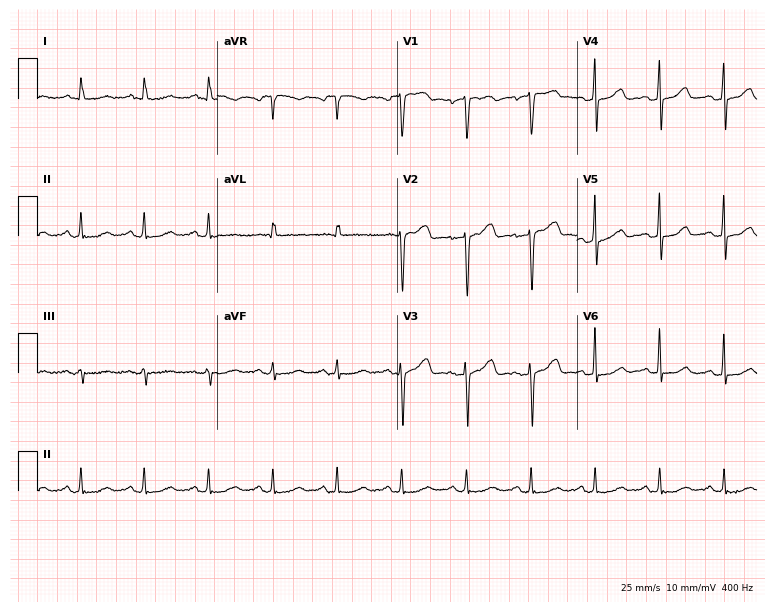
ECG (7.3-second recording at 400 Hz) — a female patient, 63 years old. Screened for six findings — first-degree AV block, right bundle branch block, left bundle branch block, sinus bradycardia, atrial fibrillation, sinus tachycardia — none is recorded. Only these six findings were labelled.